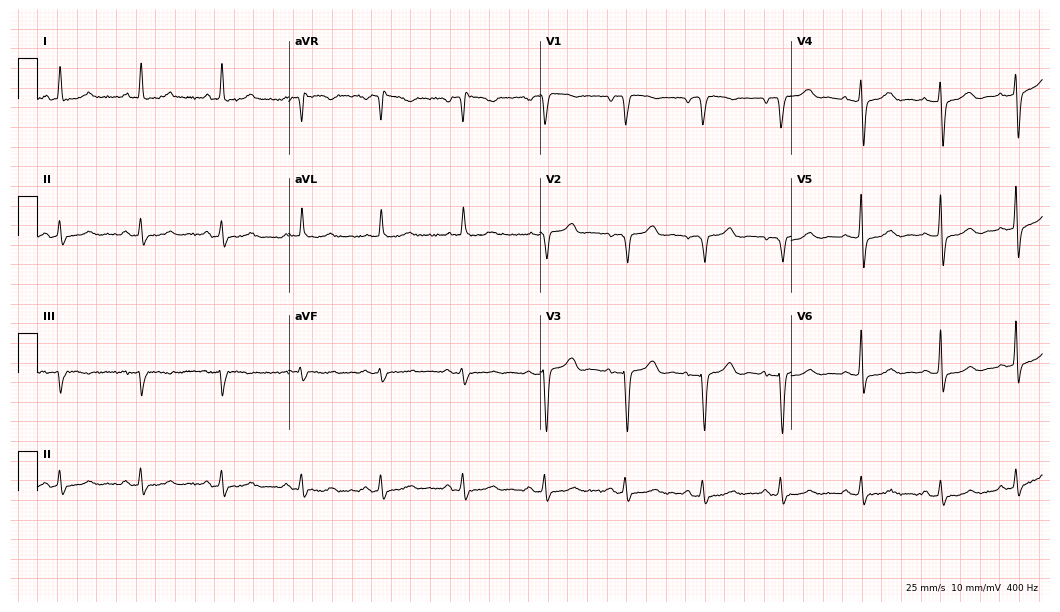
Standard 12-lead ECG recorded from a 65-year-old female patient (10.2-second recording at 400 Hz). None of these six findings is recorded: first-degree AV block, right bundle branch block (RBBB), left bundle branch block (LBBB), sinus bradycardia, atrial fibrillation (AF), sinus tachycardia. Findings outside these six are not listed.